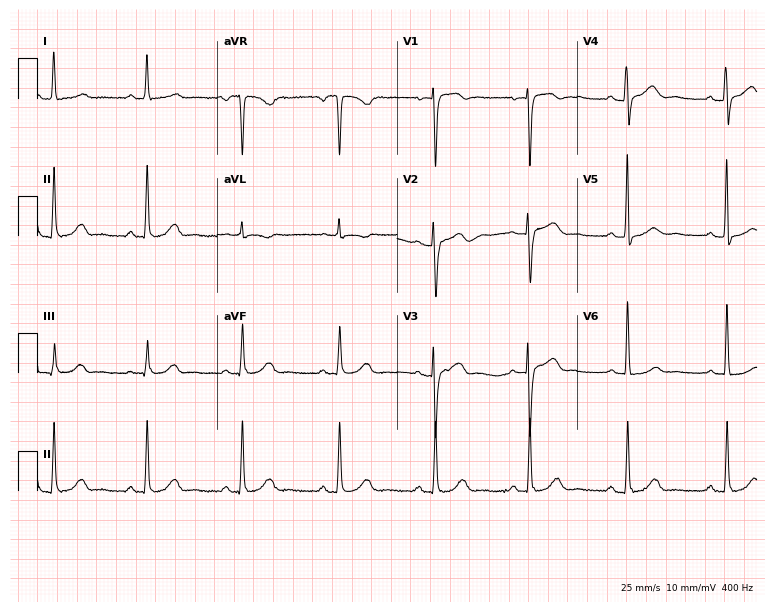
12-lead ECG (7.3-second recording at 400 Hz) from a 55-year-old female. Screened for six findings — first-degree AV block, right bundle branch block, left bundle branch block, sinus bradycardia, atrial fibrillation, sinus tachycardia — none is recorded.